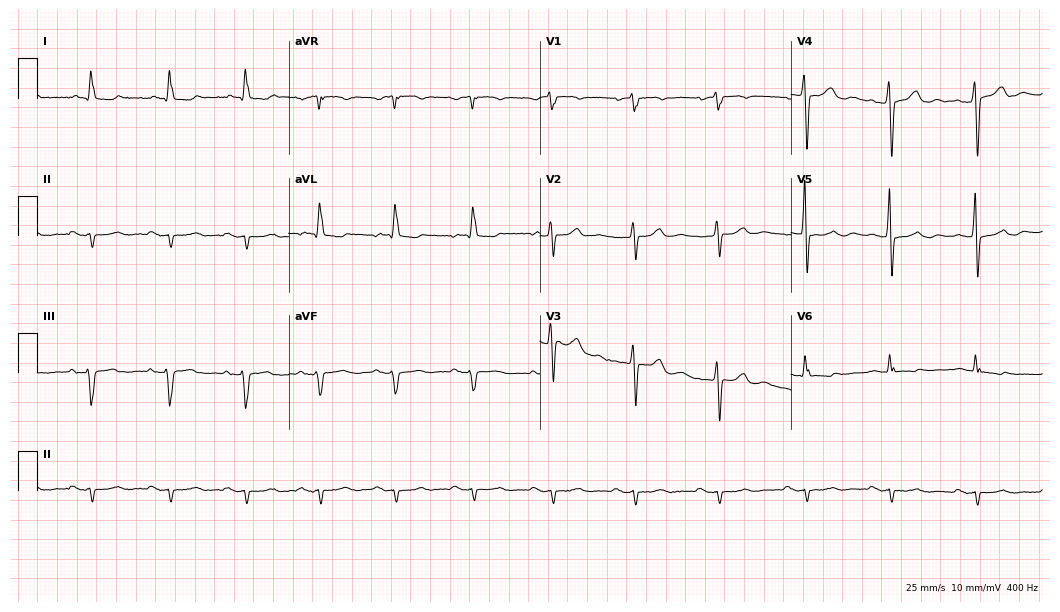
12-lead ECG (10.2-second recording at 400 Hz) from a man, 81 years old. Screened for six findings — first-degree AV block, right bundle branch block, left bundle branch block, sinus bradycardia, atrial fibrillation, sinus tachycardia — none is recorded.